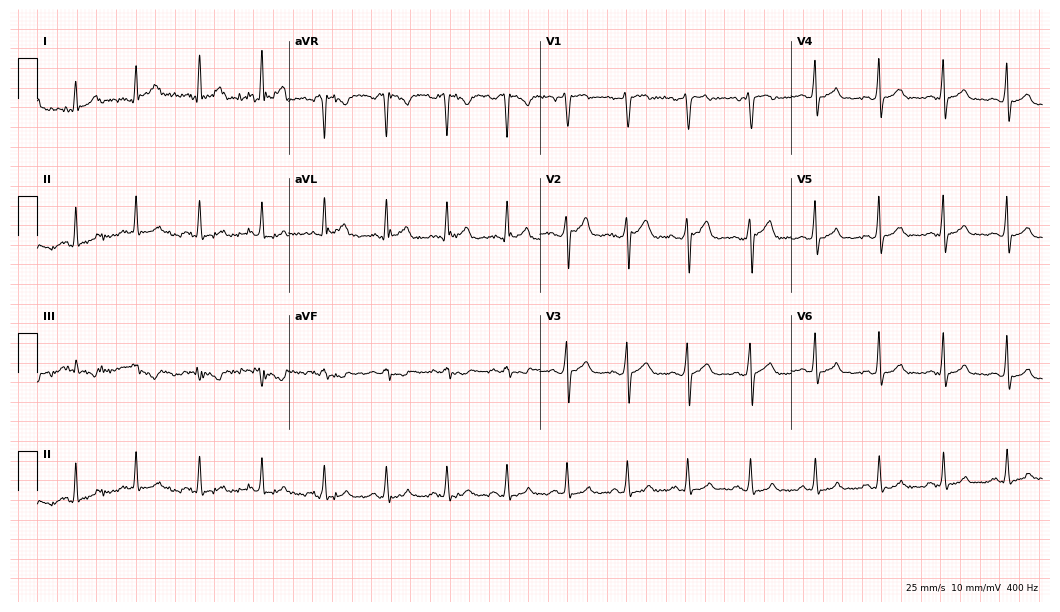
Electrocardiogram, a 23-year-old male patient. Overall reading on record: normal ECG.